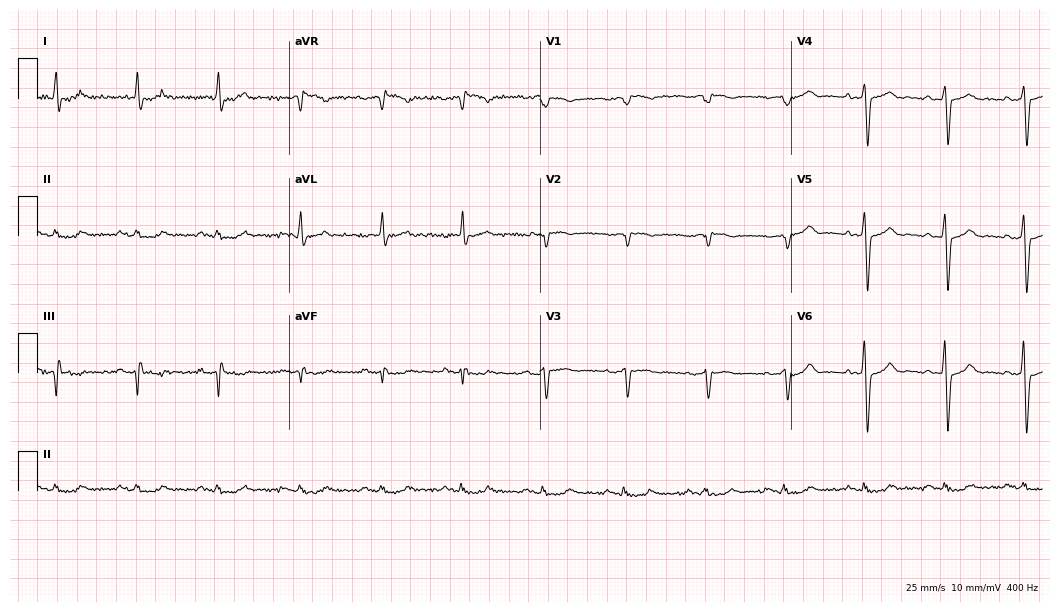
12-lead ECG from a 76-year-old male patient (10.2-second recording at 400 Hz). No first-degree AV block, right bundle branch block (RBBB), left bundle branch block (LBBB), sinus bradycardia, atrial fibrillation (AF) or sinus tachycardia recorded for this tracing.